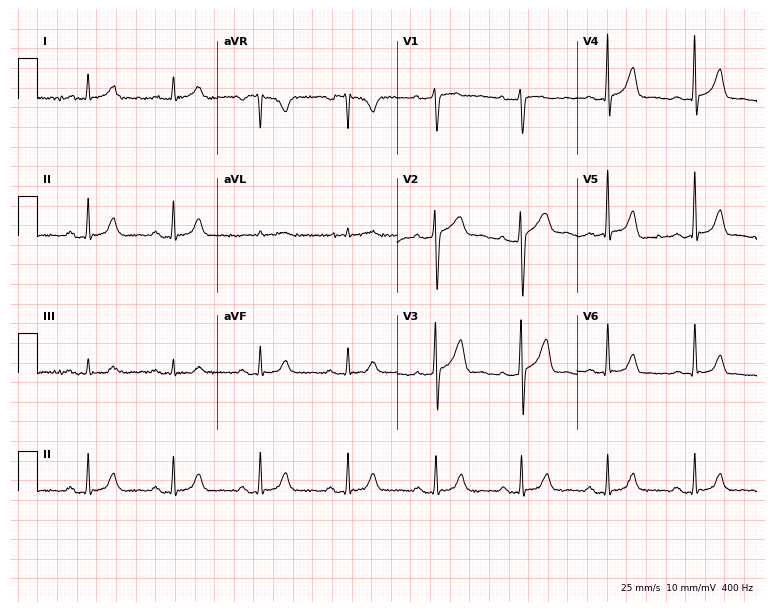
Standard 12-lead ECG recorded from a 52-year-old man (7.3-second recording at 400 Hz). Read as a normal ECG.